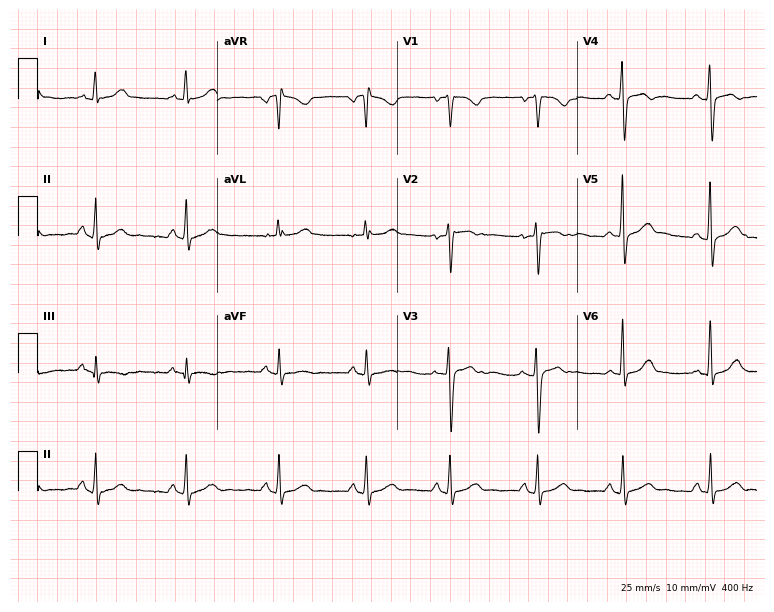
Resting 12-lead electrocardiogram. Patient: a female, 26 years old. Read as a normal ECG.